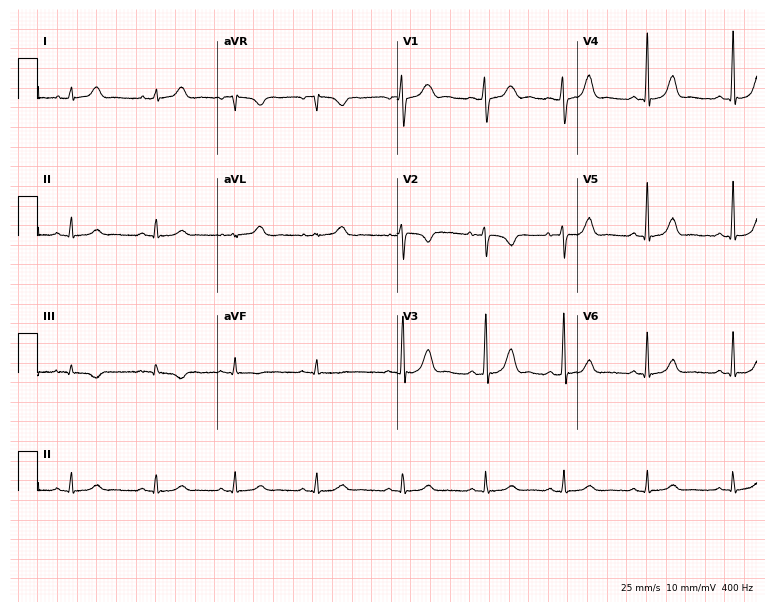
Electrocardiogram, a 26-year-old female patient. Of the six screened findings (first-degree AV block, right bundle branch block, left bundle branch block, sinus bradycardia, atrial fibrillation, sinus tachycardia), none is recorded.